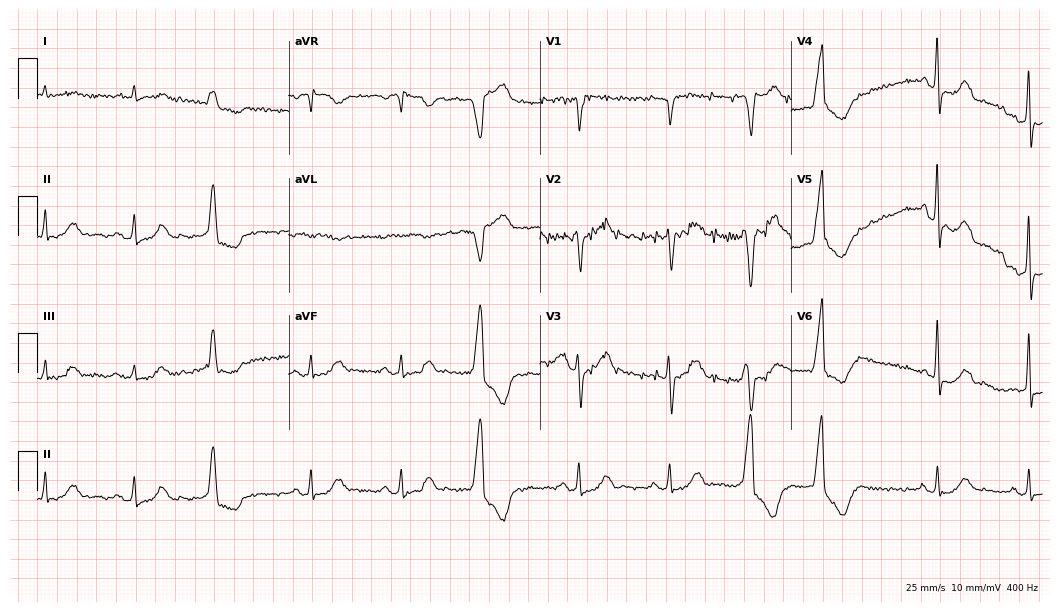
ECG — an 82-year-old male. Screened for six findings — first-degree AV block, right bundle branch block, left bundle branch block, sinus bradycardia, atrial fibrillation, sinus tachycardia — none is recorded.